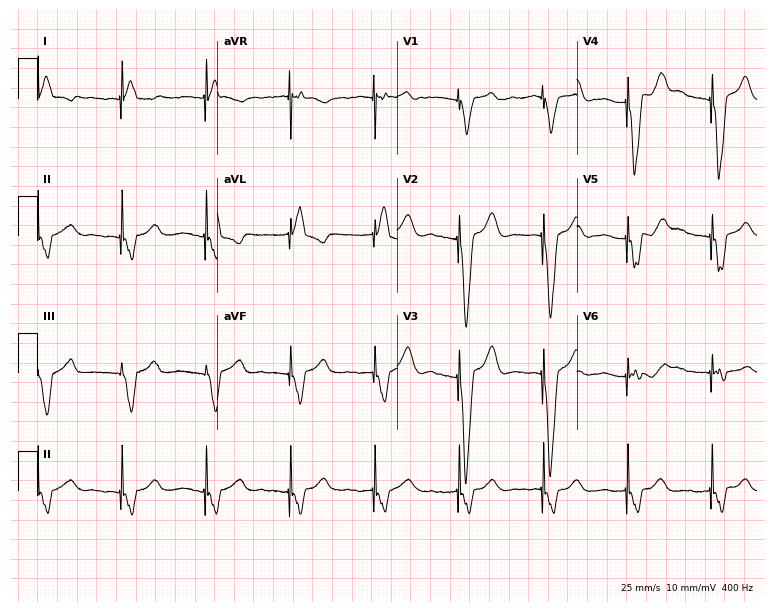
ECG — a 71-year-old female patient. Screened for six findings — first-degree AV block, right bundle branch block, left bundle branch block, sinus bradycardia, atrial fibrillation, sinus tachycardia — none is recorded.